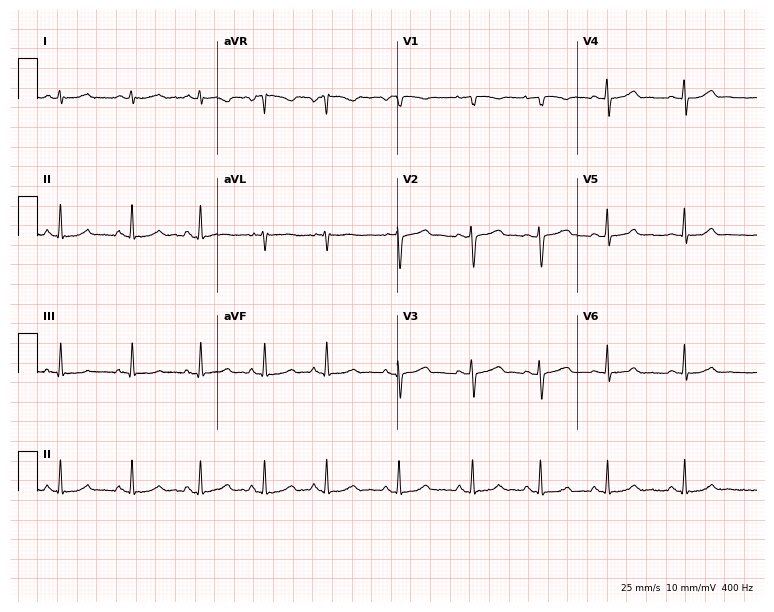
Standard 12-lead ECG recorded from a 28-year-old female (7.3-second recording at 400 Hz). None of these six findings is recorded: first-degree AV block, right bundle branch block (RBBB), left bundle branch block (LBBB), sinus bradycardia, atrial fibrillation (AF), sinus tachycardia. Other findings, if any, are not listed.